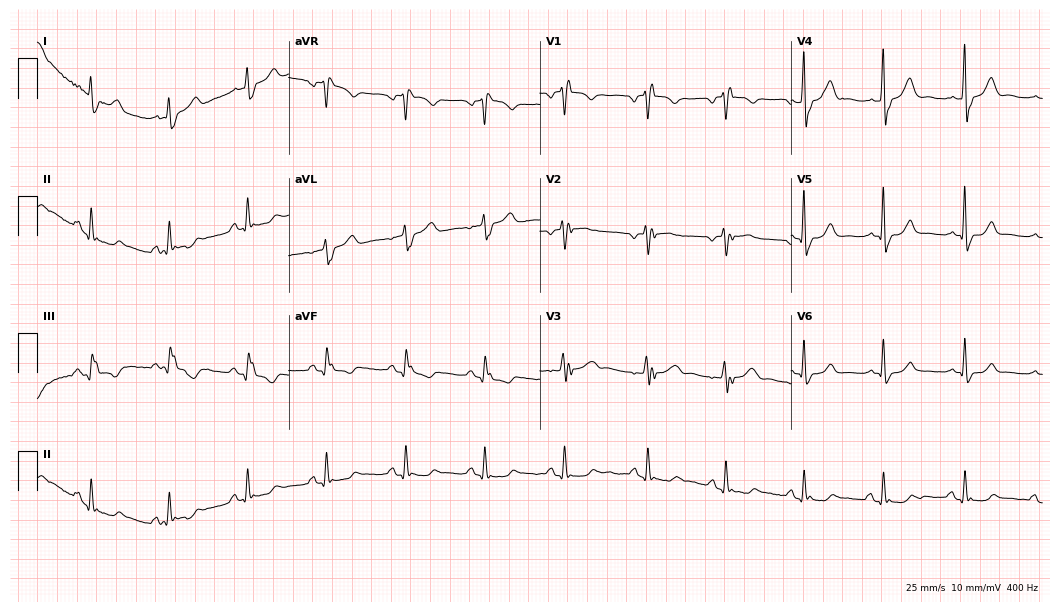
ECG — a female patient, 54 years old. Screened for six findings — first-degree AV block, right bundle branch block, left bundle branch block, sinus bradycardia, atrial fibrillation, sinus tachycardia — none is recorded.